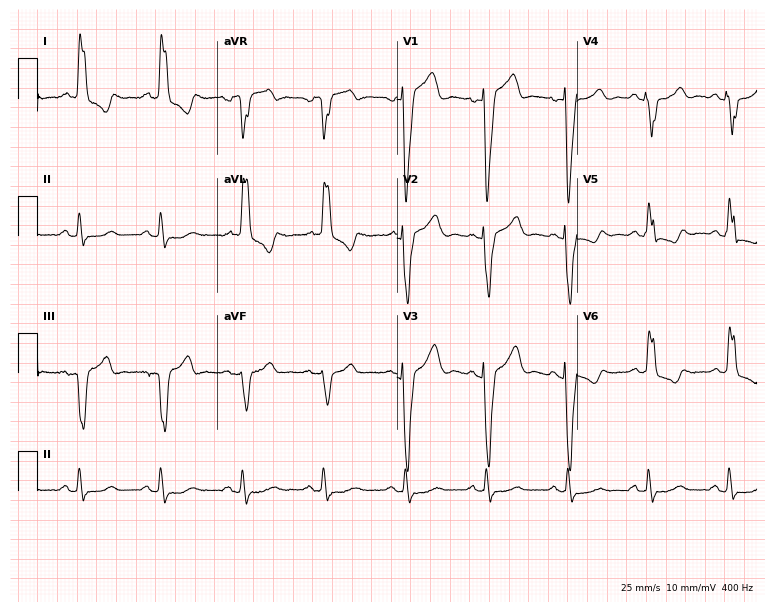
12-lead ECG (7.3-second recording at 400 Hz) from a female patient, 75 years old. Findings include left bundle branch block (LBBB).